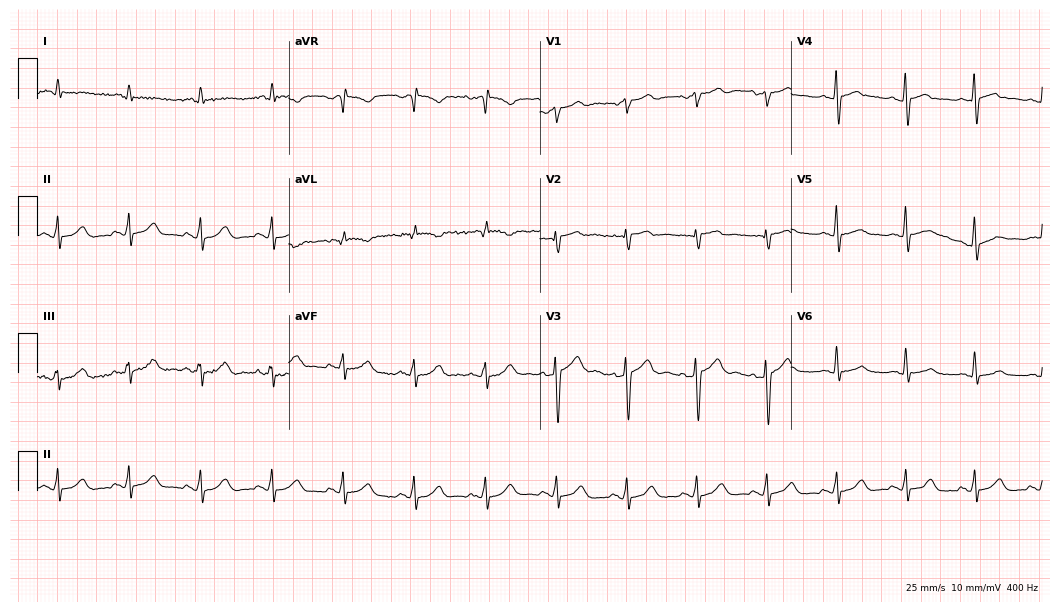
Resting 12-lead electrocardiogram. Patient: a male, 65 years old. None of these six findings is recorded: first-degree AV block, right bundle branch block (RBBB), left bundle branch block (LBBB), sinus bradycardia, atrial fibrillation (AF), sinus tachycardia. Findings outside these six are not listed.